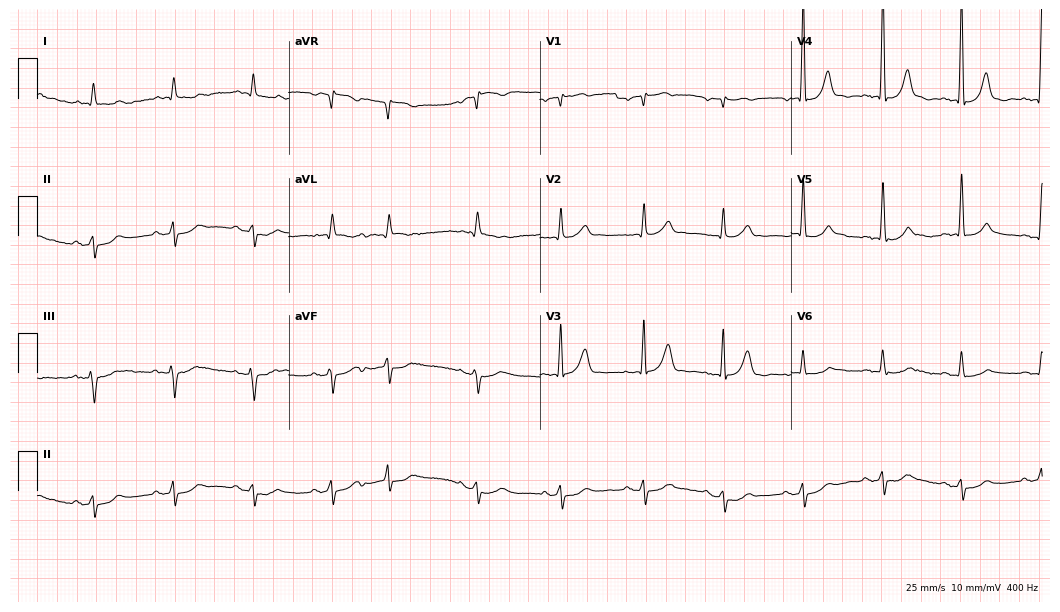
12-lead ECG from a male patient, 75 years old (10.2-second recording at 400 Hz). No first-degree AV block, right bundle branch block (RBBB), left bundle branch block (LBBB), sinus bradycardia, atrial fibrillation (AF) or sinus tachycardia recorded for this tracing. Other findings, if any, are not listed.